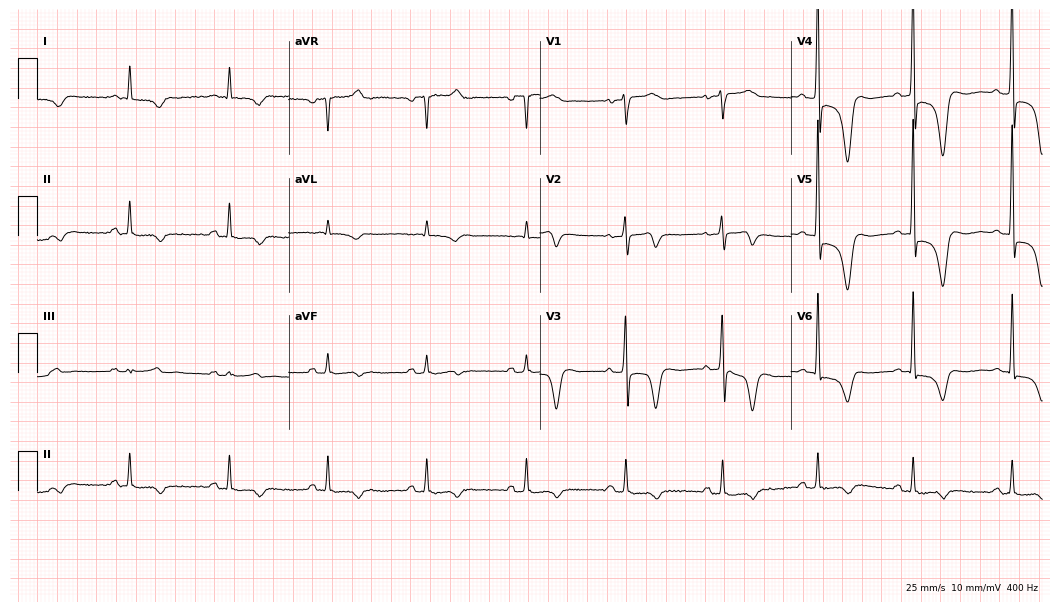
12-lead ECG from a 66-year-old man (10.2-second recording at 400 Hz). No first-degree AV block, right bundle branch block, left bundle branch block, sinus bradycardia, atrial fibrillation or sinus tachycardia recorded for this tracing.